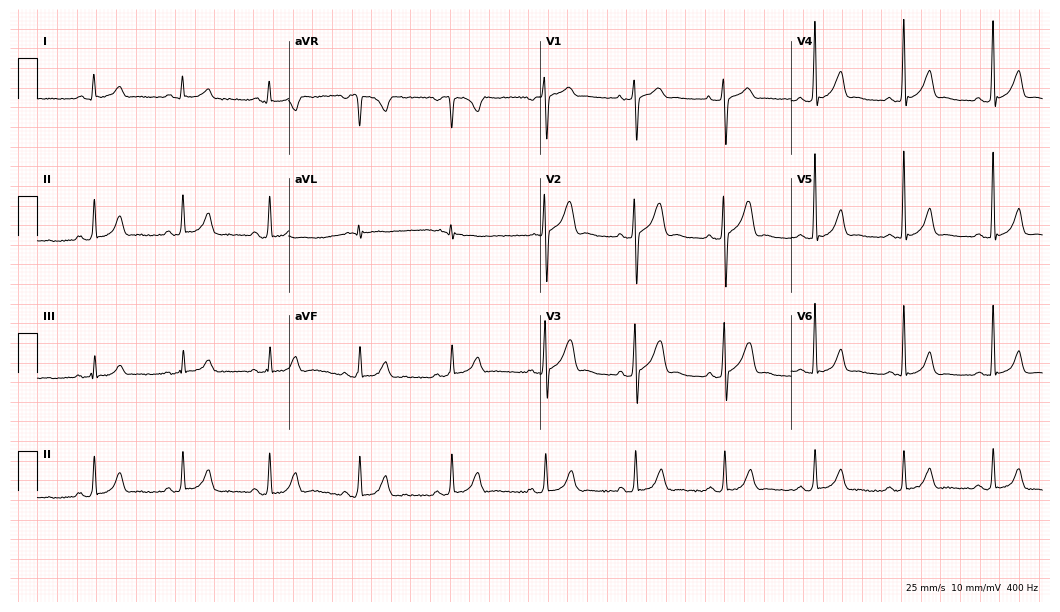
Standard 12-lead ECG recorded from a 35-year-old male patient (10.2-second recording at 400 Hz). Read as a normal ECG.